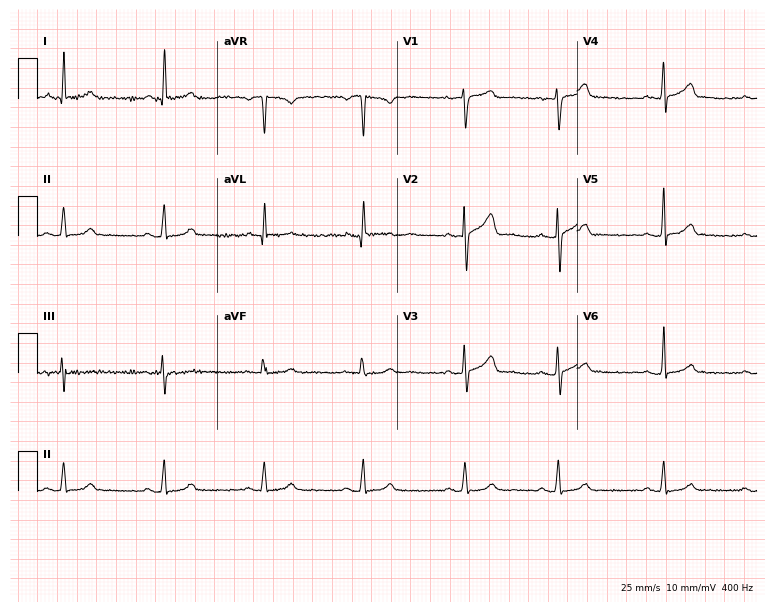
Standard 12-lead ECG recorded from a woman, 35 years old. Read as a normal ECG.